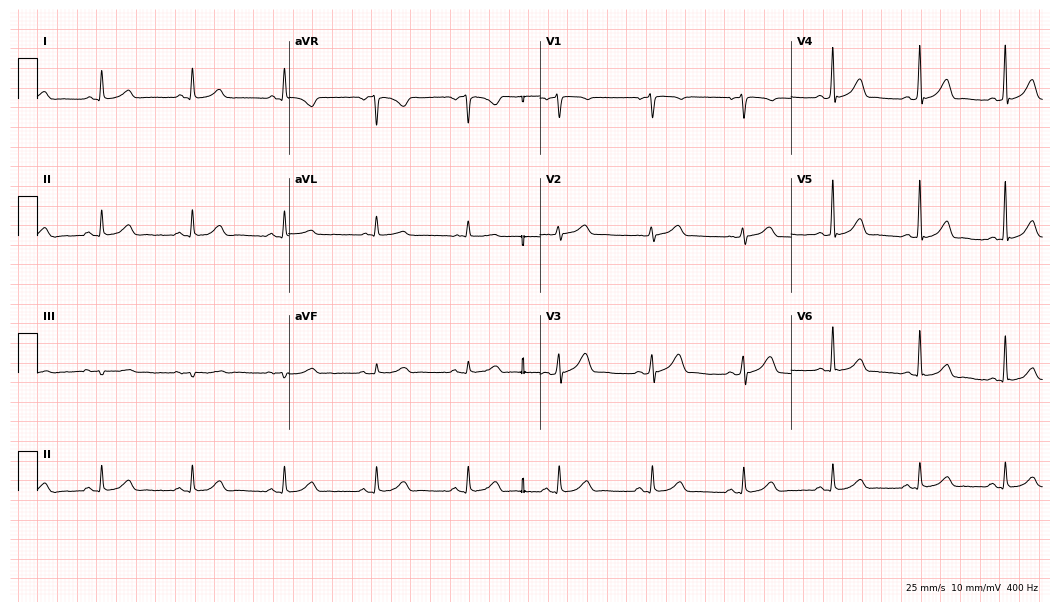
ECG (10.2-second recording at 400 Hz) — a woman, 54 years old. Labelled as a normal ECG.